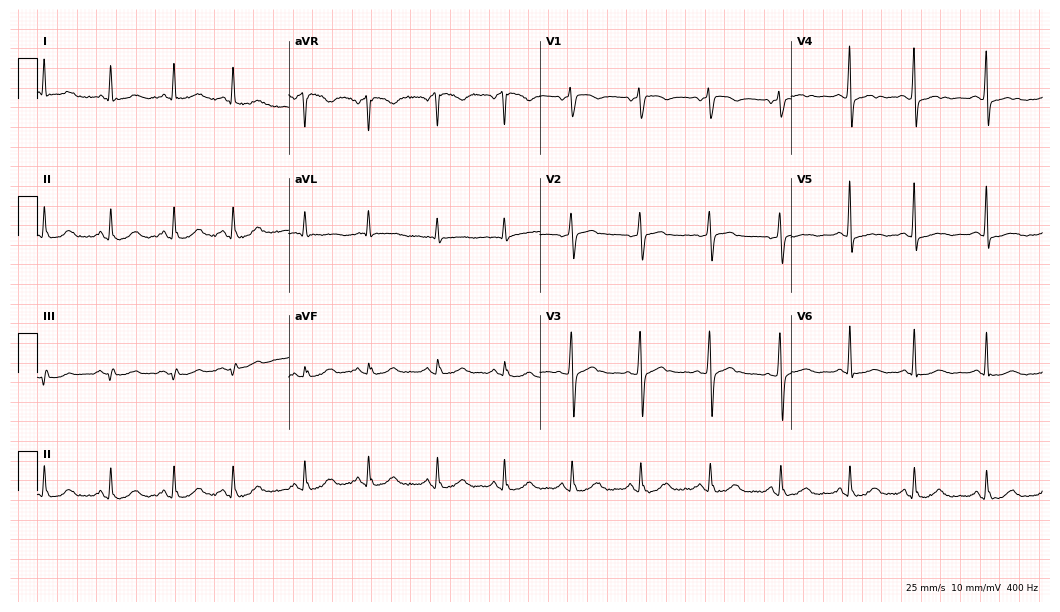
Standard 12-lead ECG recorded from a woman, 71 years old. None of these six findings is recorded: first-degree AV block, right bundle branch block, left bundle branch block, sinus bradycardia, atrial fibrillation, sinus tachycardia. Only these six findings were labelled.